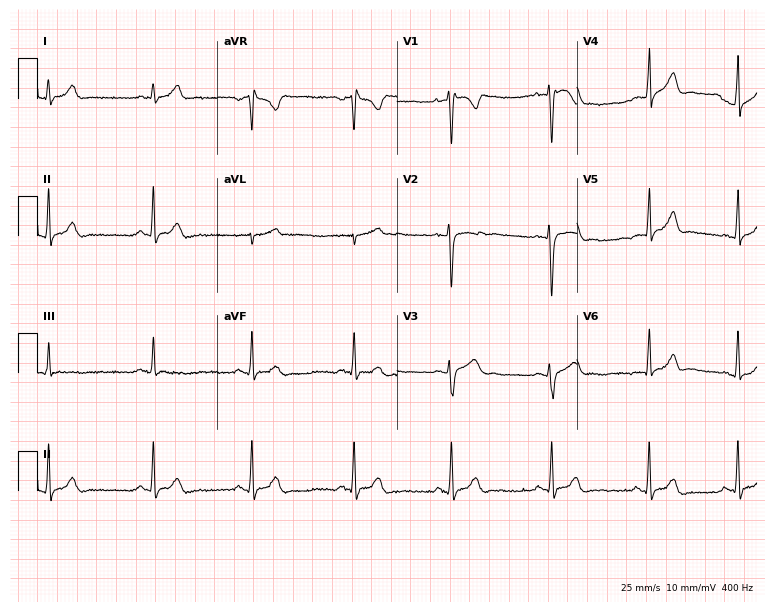
ECG — a 21-year-old female patient. Labelled as a normal ECG.